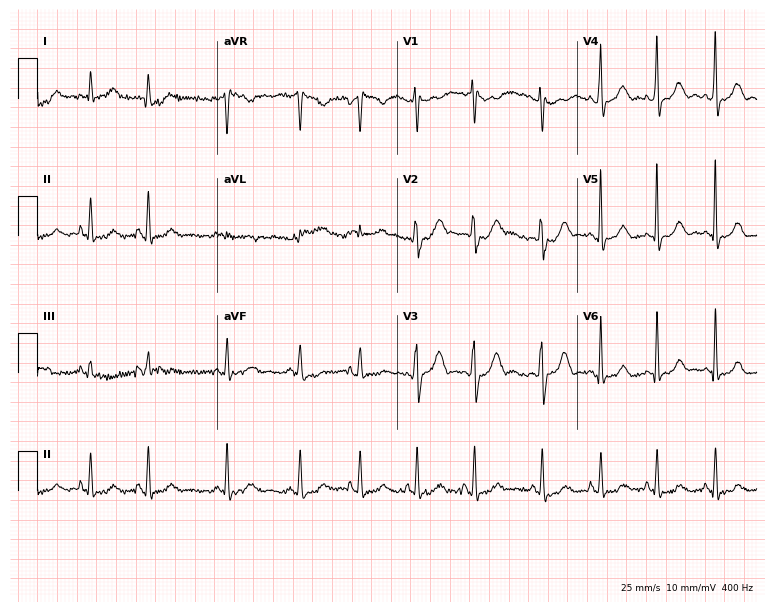
Resting 12-lead electrocardiogram. Patient: a female, 31 years old. None of these six findings is recorded: first-degree AV block, right bundle branch block, left bundle branch block, sinus bradycardia, atrial fibrillation, sinus tachycardia. Findings outside these six are not listed.